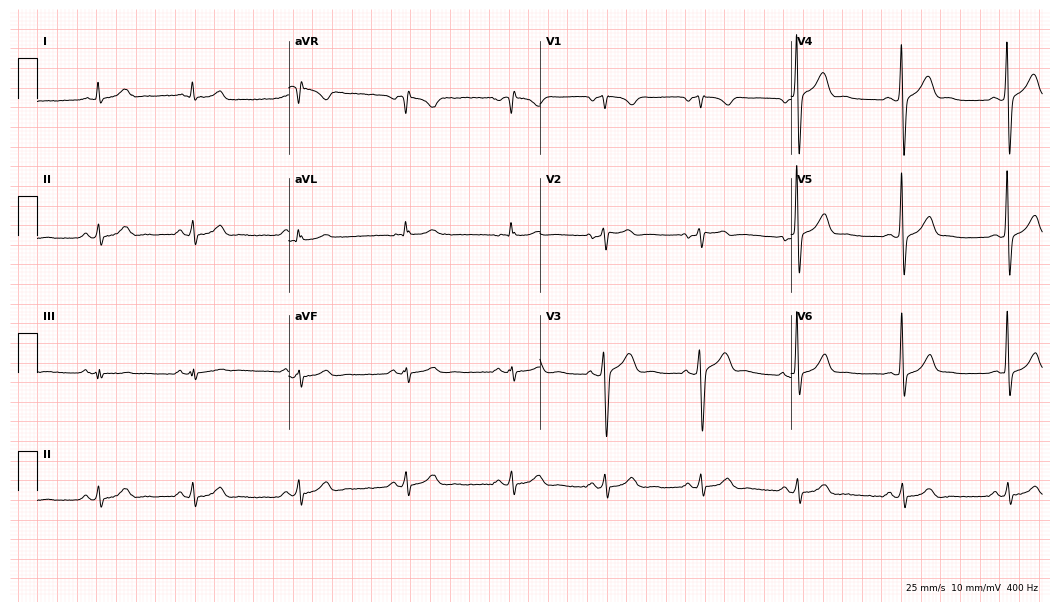
ECG — a 41-year-old male patient. Screened for six findings — first-degree AV block, right bundle branch block, left bundle branch block, sinus bradycardia, atrial fibrillation, sinus tachycardia — none is recorded.